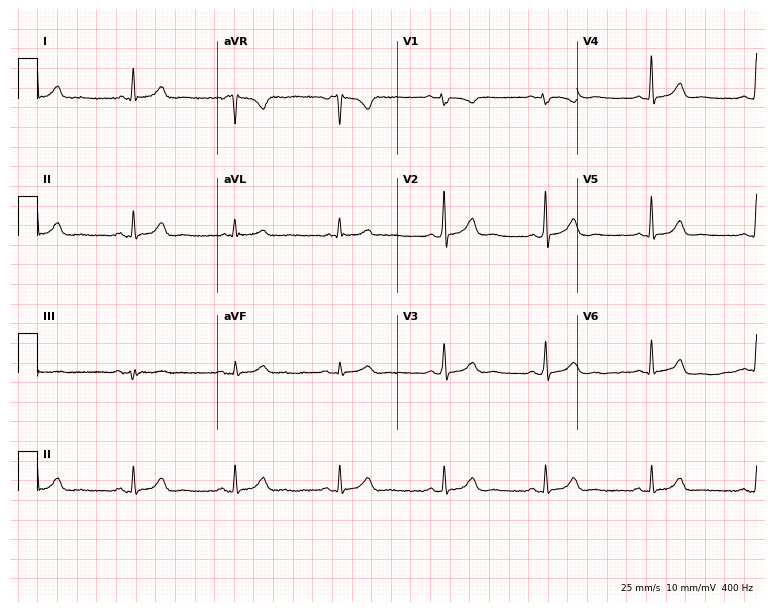
12-lead ECG from a female patient, 62 years old (7.3-second recording at 400 Hz). Recorded interpretation: within normal limits.